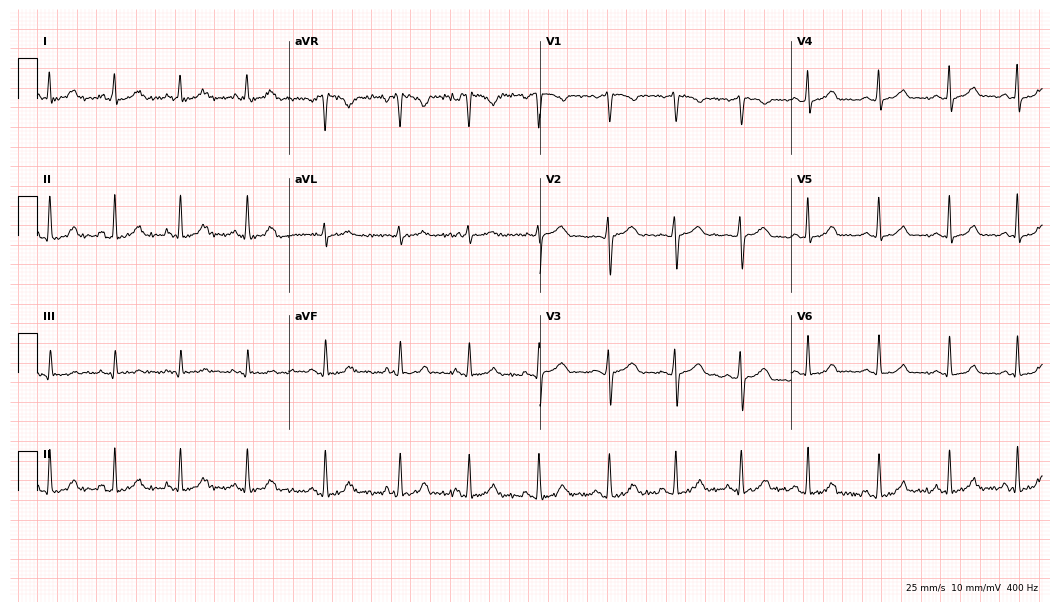
12-lead ECG from a 29-year-old woman. Labelled as a normal ECG.